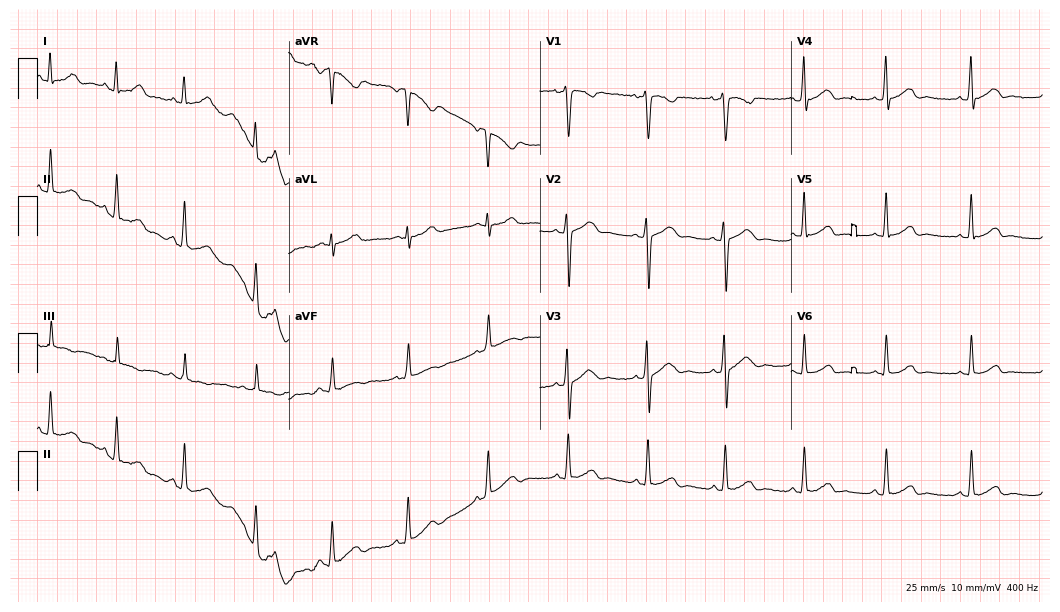
12-lead ECG from a female, 20 years old. Screened for six findings — first-degree AV block, right bundle branch block (RBBB), left bundle branch block (LBBB), sinus bradycardia, atrial fibrillation (AF), sinus tachycardia — none is recorded. Findings outside these six are not listed.